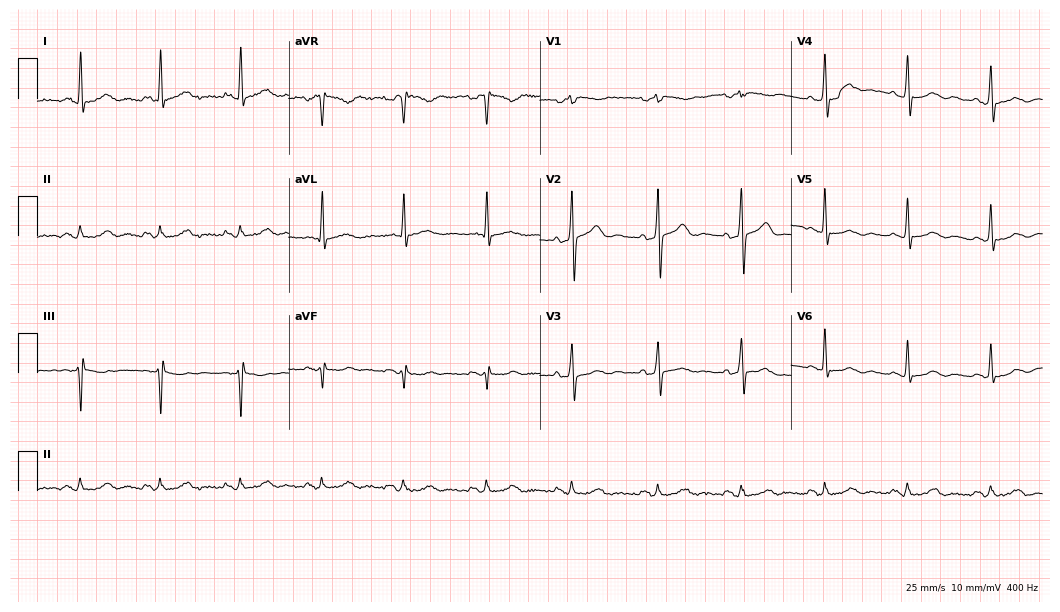
Standard 12-lead ECG recorded from a man, 70 years old. Read as a normal ECG.